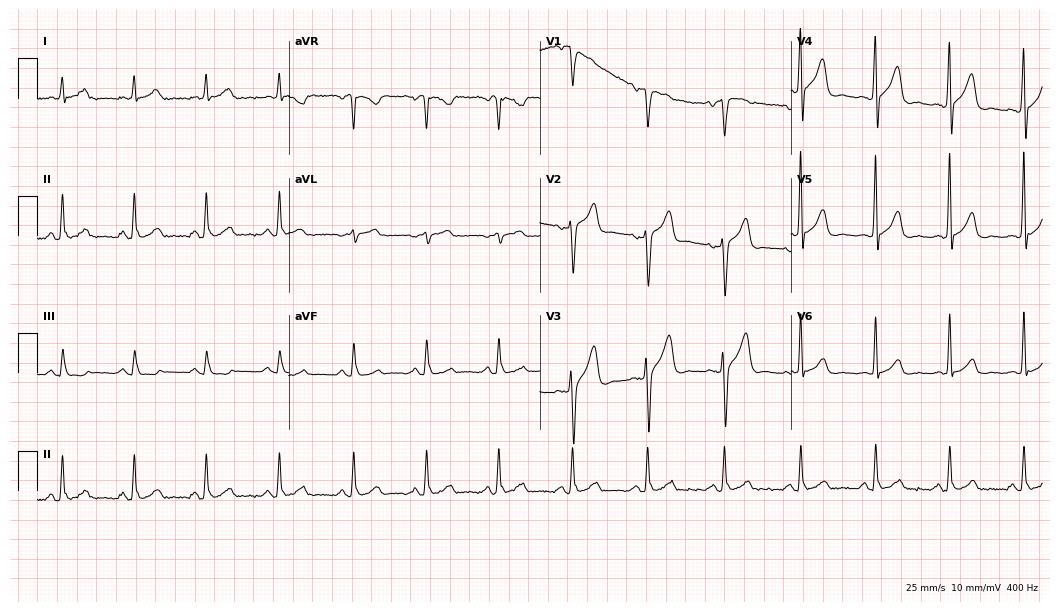
Resting 12-lead electrocardiogram (10.2-second recording at 400 Hz). Patient: a 52-year-old man. None of these six findings is recorded: first-degree AV block, right bundle branch block, left bundle branch block, sinus bradycardia, atrial fibrillation, sinus tachycardia. Only these six findings were labelled.